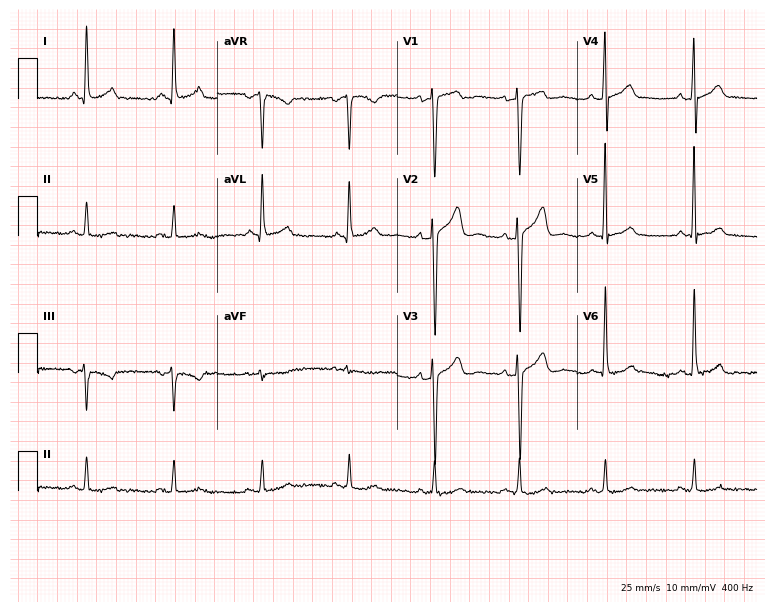
12-lead ECG from a male, 48 years old. Recorded interpretation: within normal limits.